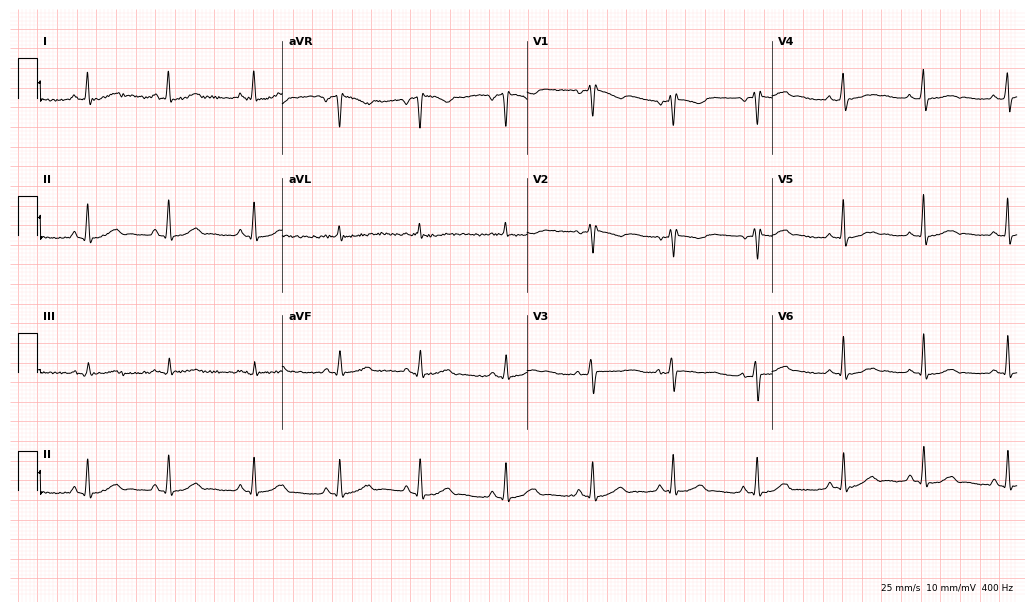
Standard 12-lead ECG recorded from a female, 41 years old. Read as a normal ECG.